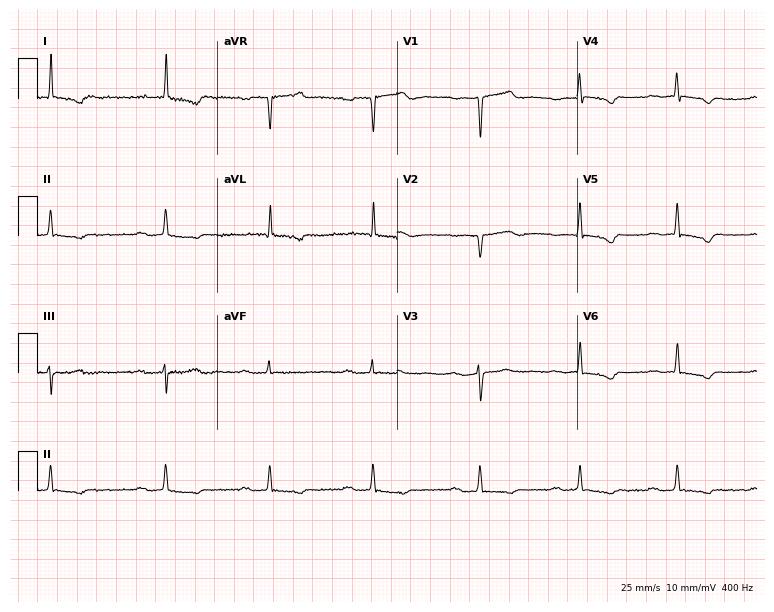
12-lead ECG from a 76-year-old woman. Shows first-degree AV block.